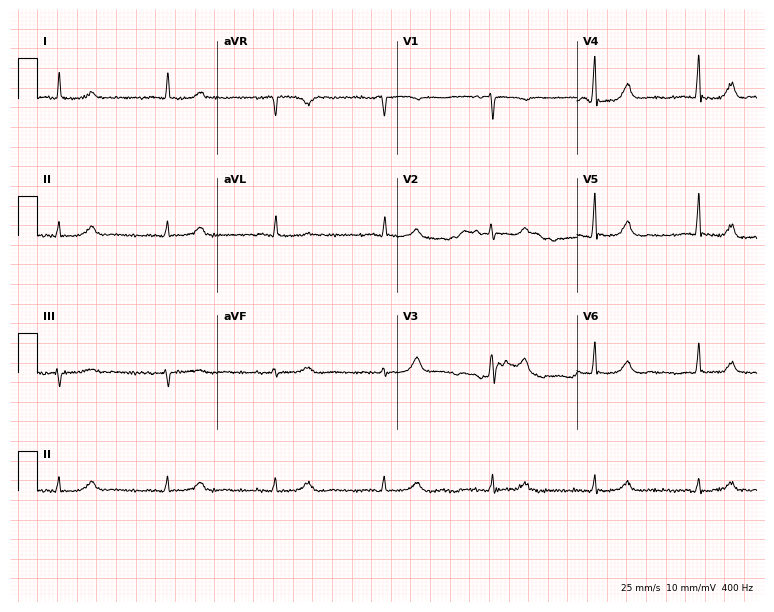
ECG — a woman, 77 years old. Screened for six findings — first-degree AV block, right bundle branch block, left bundle branch block, sinus bradycardia, atrial fibrillation, sinus tachycardia — none is recorded. Findings outside these six are not listed.